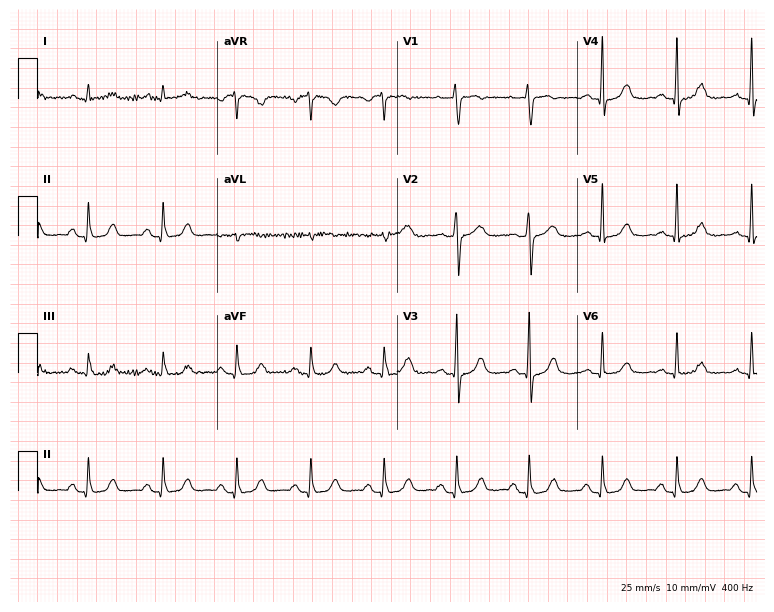
12-lead ECG from a 68-year-old woman (7.3-second recording at 400 Hz). No first-degree AV block, right bundle branch block (RBBB), left bundle branch block (LBBB), sinus bradycardia, atrial fibrillation (AF) or sinus tachycardia recorded for this tracing. Findings outside these six are not listed.